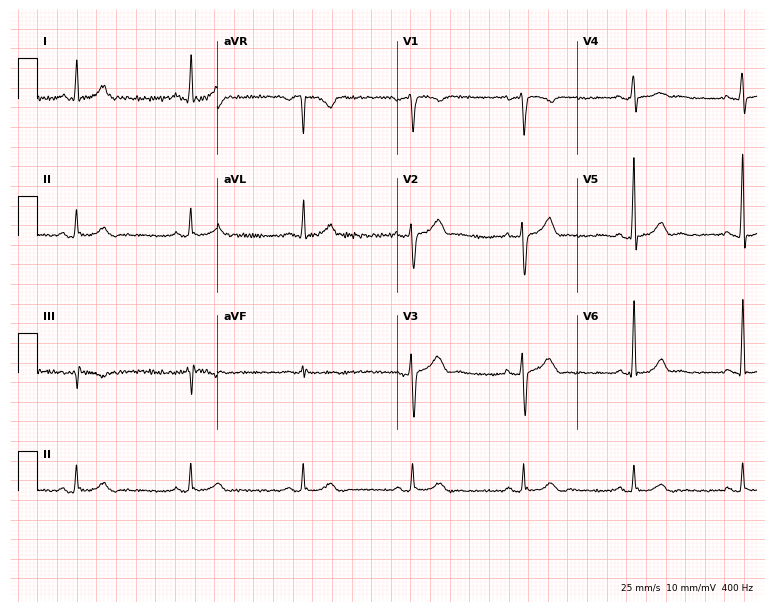
ECG (7.3-second recording at 400 Hz) — a 40-year-old male patient. Screened for six findings — first-degree AV block, right bundle branch block, left bundle branch block, sinus bradycardia, atrial fibrillation, sinus tachycardia — none is recorded. Findings outside these six are not listed.